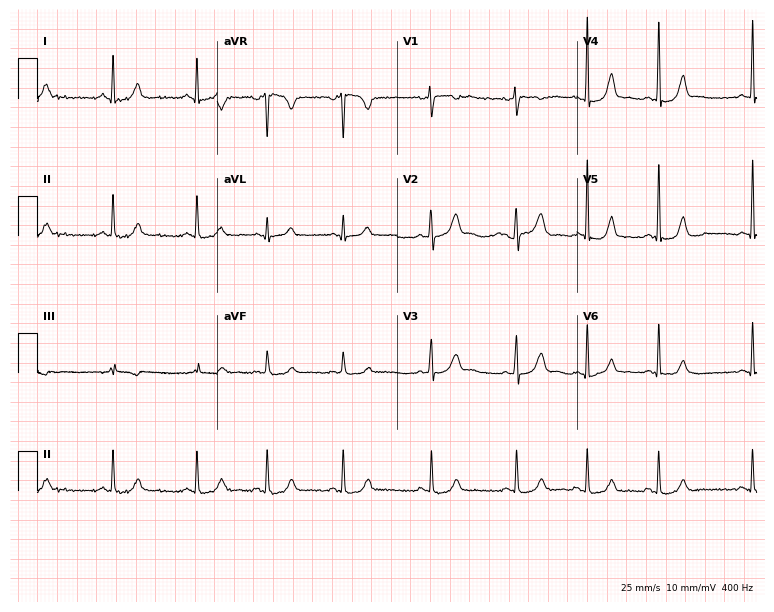
12-lead ECG (7.3-second recording at 400 Hz) from a woman, 18 years old. Screened for six findings — first-degree AV block, right bundle branch block (RBBB), left bundle branch block (LBBB), sinus bradycardia, atrial fibrillation (AF), sinus tachycardia — none is recorded. Only these six findings were labelled.